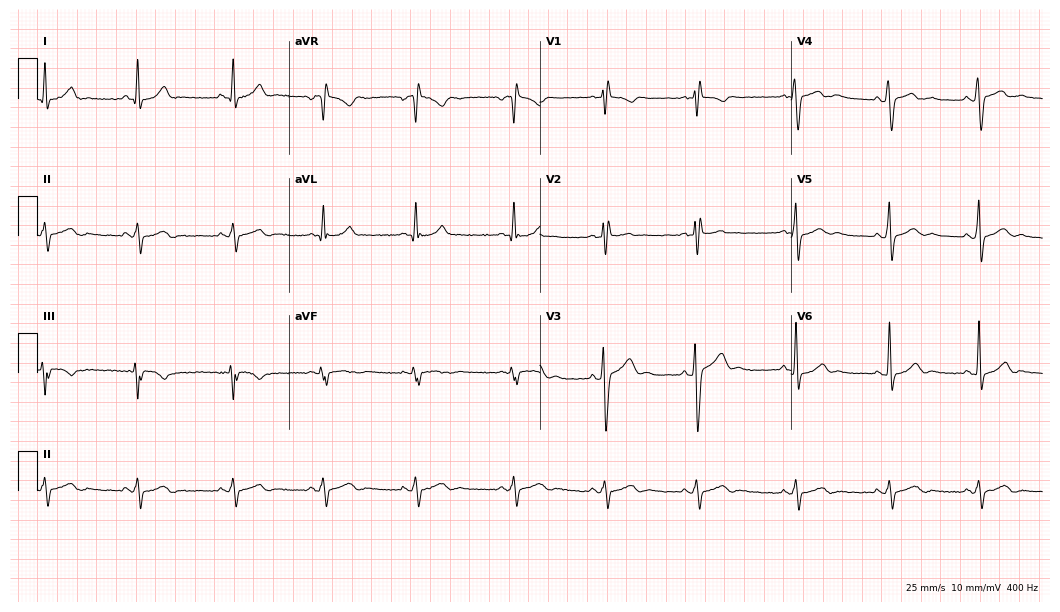
Resting 12-lead electrocardiogram. Patient: a male, 39 years old. None of these six findings is recorded: first-degree AV block, right bundle branch block (RBBB), left bundle branch block (LBBB), sinus bradycardia, atrial fibrillation (AF), sinus tachycardia. Only these six findings were labelled.